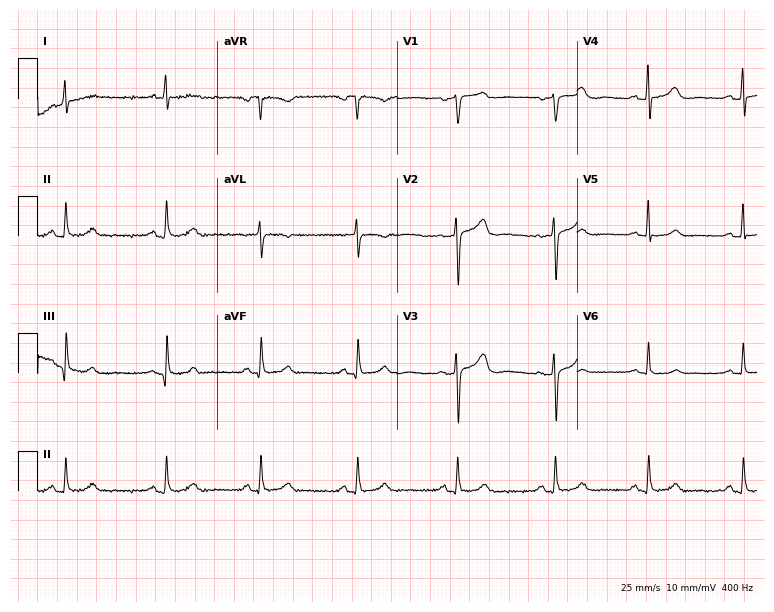
Resting 12-lead electrocardiogram. Patient: a 67-year-old female. None of these six findings is recorded: first-degree AV block, right bundle branch block, left bundle branch block, sinus bradycardia, atrial fibrillation, sinus tachycardia. Only these six findings were labelled.